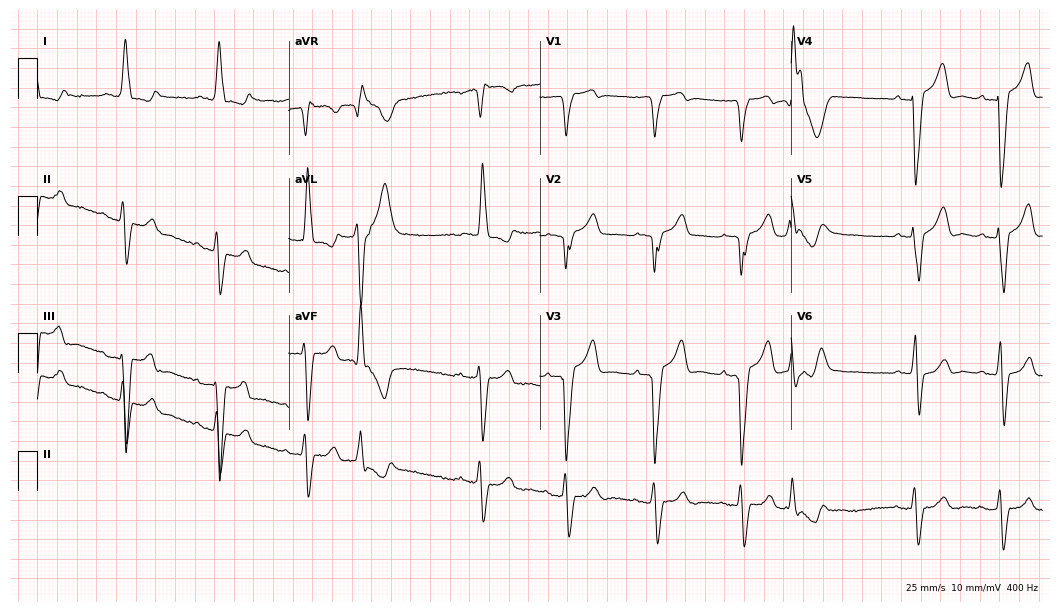
Resting 12-lead electrocardiogram (10.2-second recording at 400 Hz). Patient: a female, 82 years old. The tracing shows left bundle branch block.